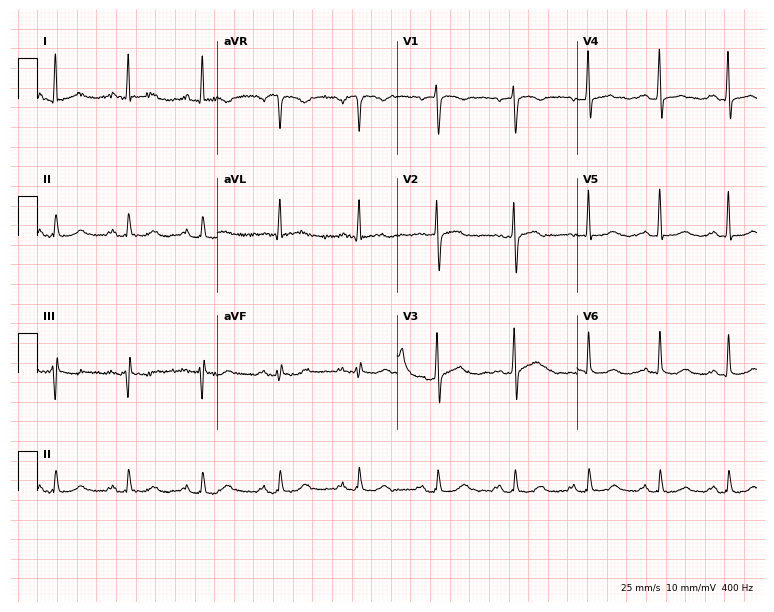
12-lead ECG from a female patient, 68 years old. Recorded interpretation: within normal limits.